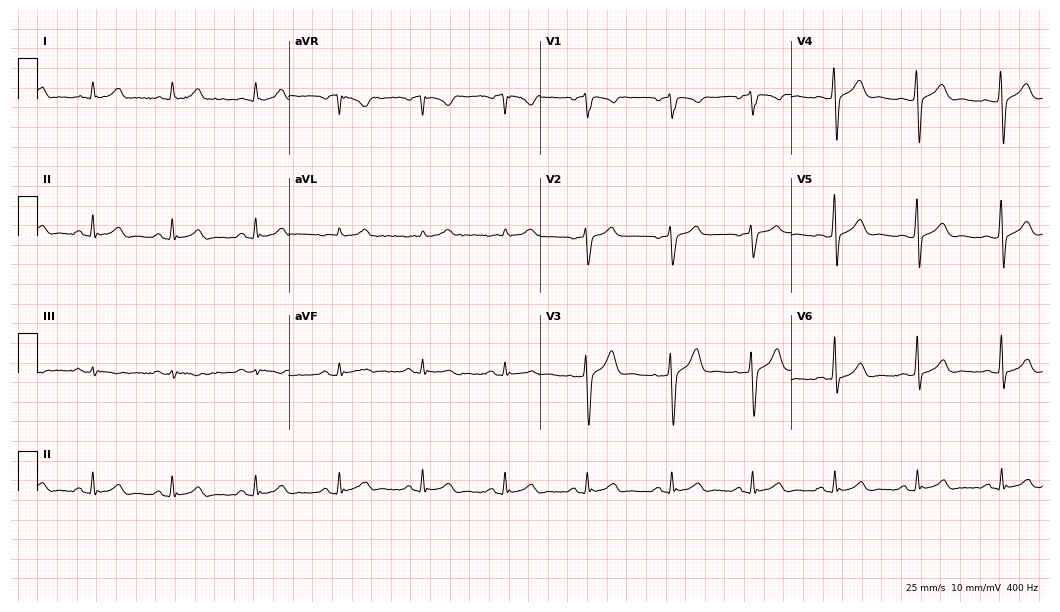
Resting 12-lead electrocardiogram (10.2-second recording at 400 Hz). Patient: a 31-year-old male. Read as a normal ECG.